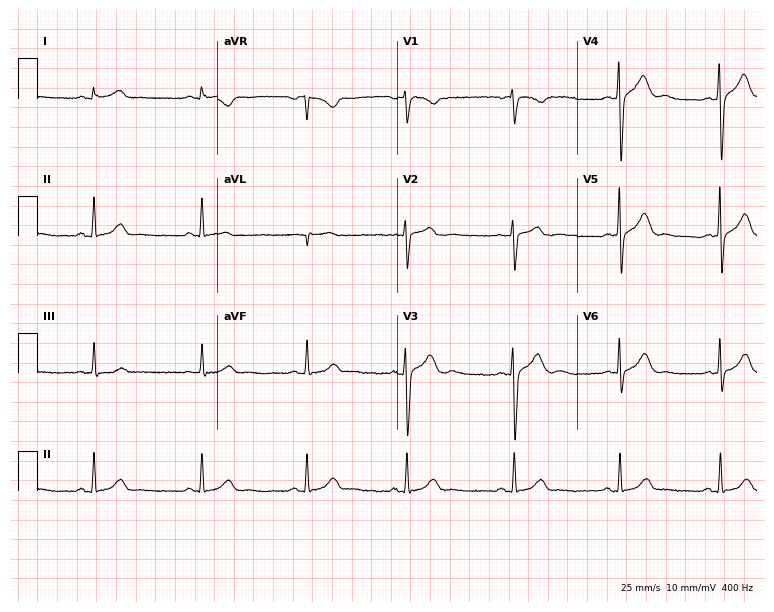
12-lead ECG from a female, 30 years old (7.3-second recording at 400 Hz). Recorded interpretation: within normal limits.